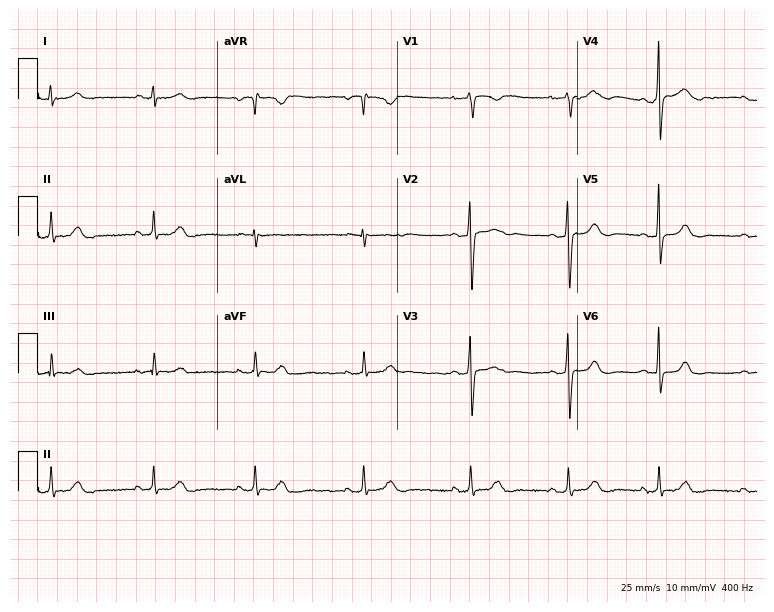
Standard 12-lead ECG recorded from a female, 34 years old (7.3-second recording at 400 Hz). Read as a normal ECG.